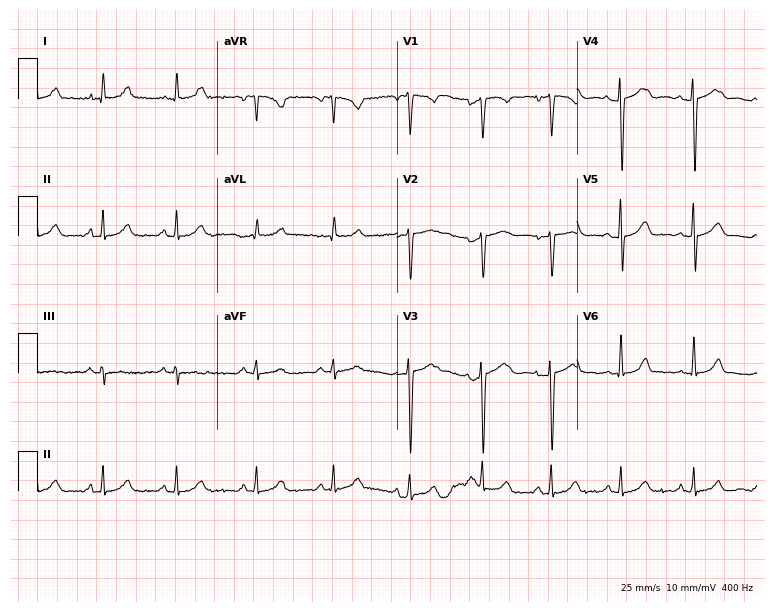
ECG (7.3-second recording at 400 Hz) — a 51-year-old female. Labelled as a normal ECG.